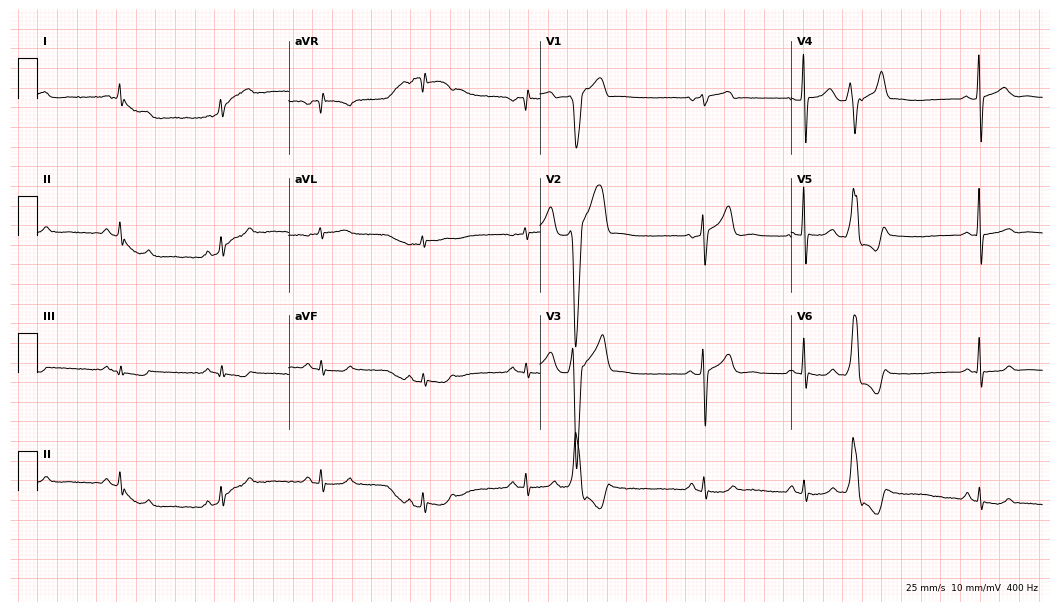
12-lead ECG (10.2-second recording at 400 Hz) from a 46-year-old male patient. Screened for six findings — first-degree AV block, right bundle branch block, left bundle branch block, sinus bradycardia, atrial fibrillation, sinus tachycardia — none is recorded.